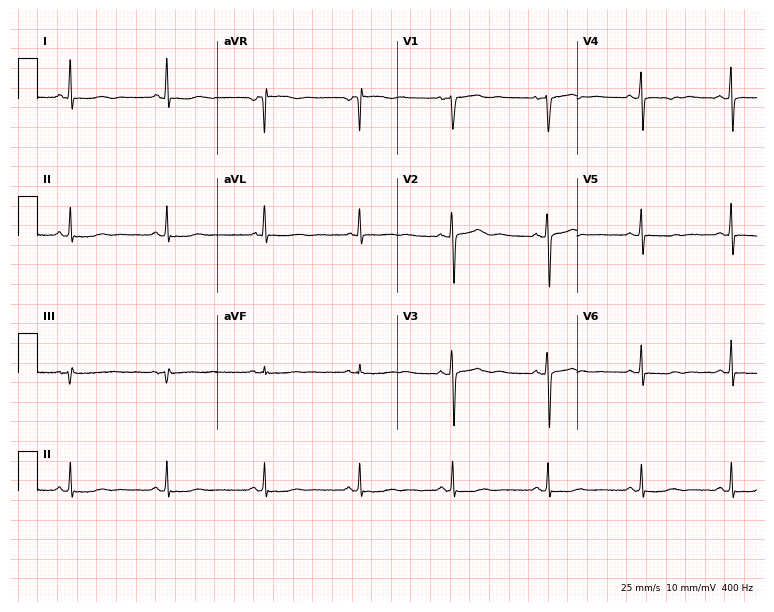
12-lead ECG from a 42-year-old female. Screened for six findings — first-degree AV block, right bundle branch block, left bundle branch block, sinus bradycardia, atrial fibrillation, sinus tachycardia — none is recorded.